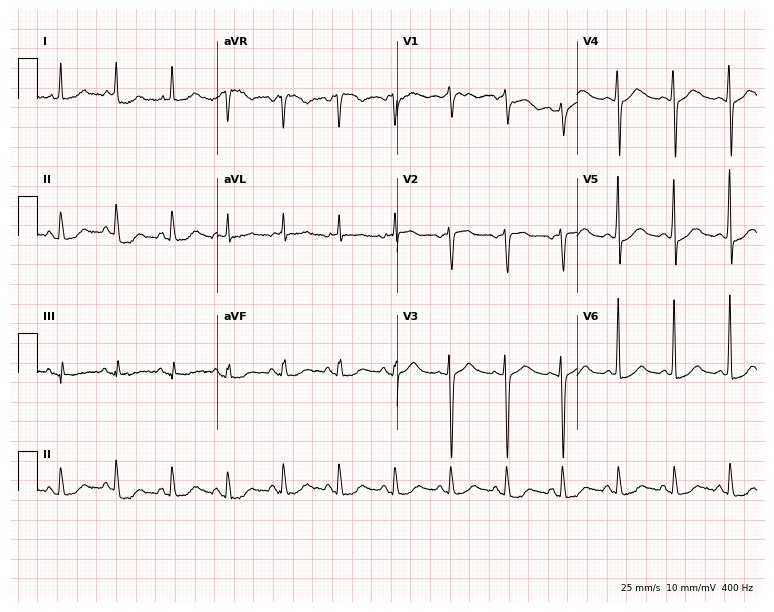
Electrocardiogram, a 61-year-old man. Interpretation includes sinus tachycardia (a sinus rate of 100 beats per minute or more).